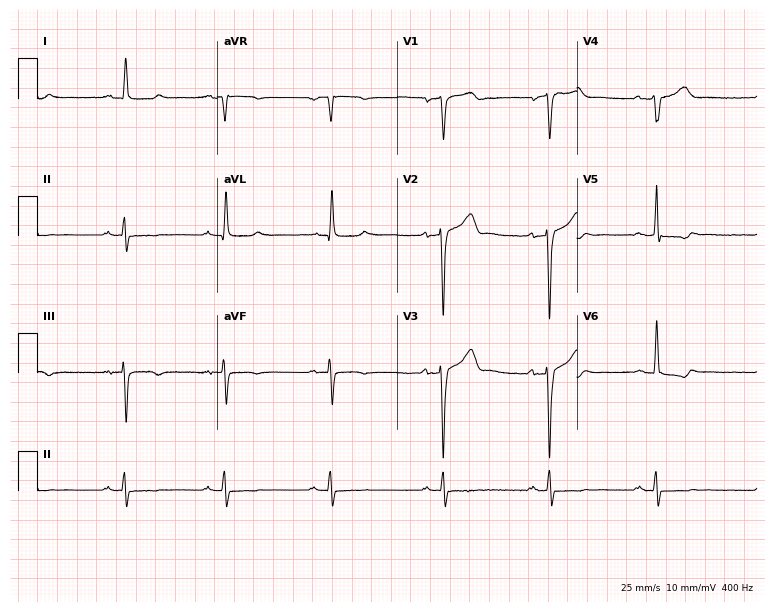
12-lead ECG (7.3-second recording at 400 Hz) from an 84-year-old man. Screened for six findings — first-degree AV block, right bundle branch block (RBBB), left bundle branch block (LBBB), sinus bradycardia, atrial fibrillation (AF), sinus tachycardia — none is recorded. Other findings, if any, are not listed.